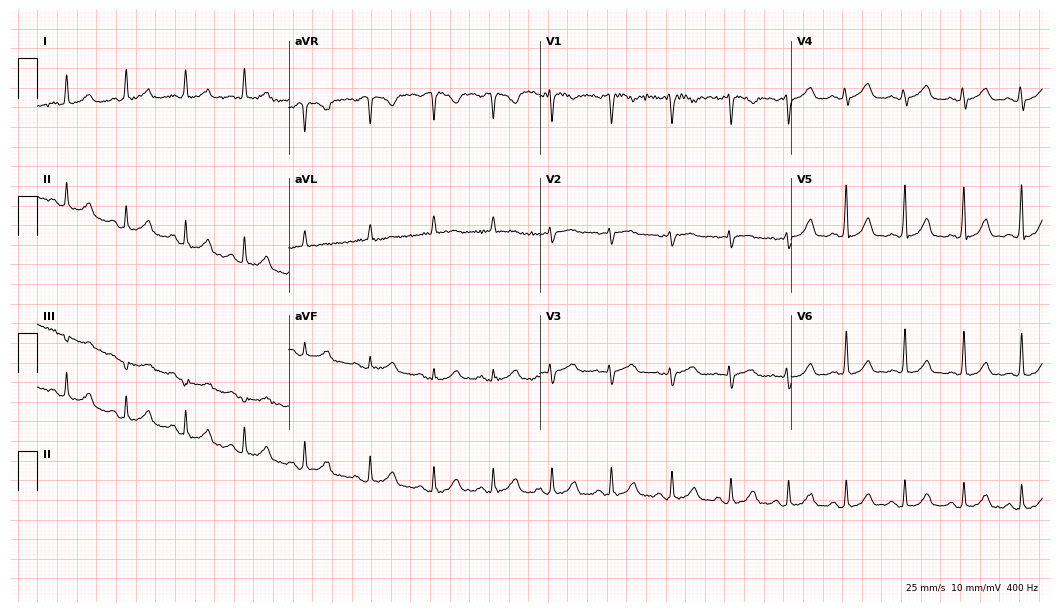
Electrocardiogram (10.2-second recording at 400 Hz), a 59-year-old woman. Overall reading on record: normal ECG.